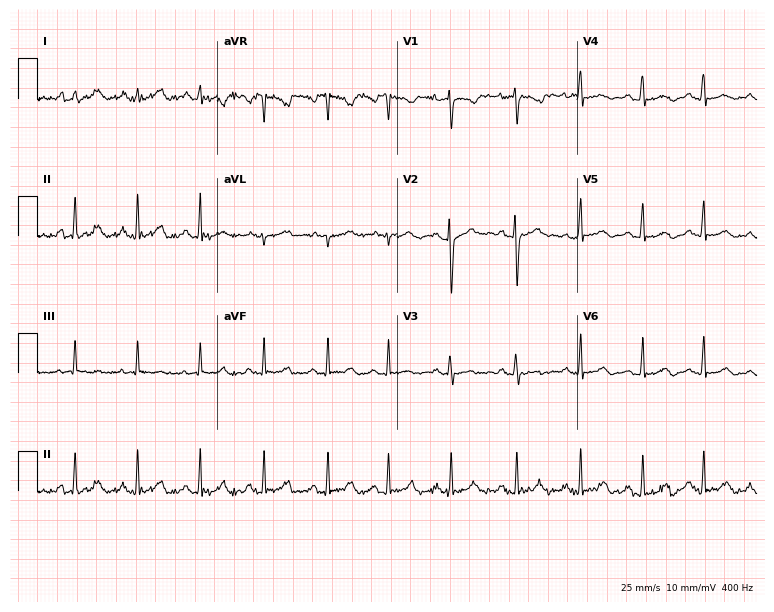
12-lead ECG (7.3-second recording at 400 Hz) from a woman, 17 years old. Screened for six findings — first-degree AV block, right bundle branch block (RBBB), left bundle branch block (LBBB), sinus bradycardia, atrial fibrillation (AF), sinus tachycardia — none is recorded.